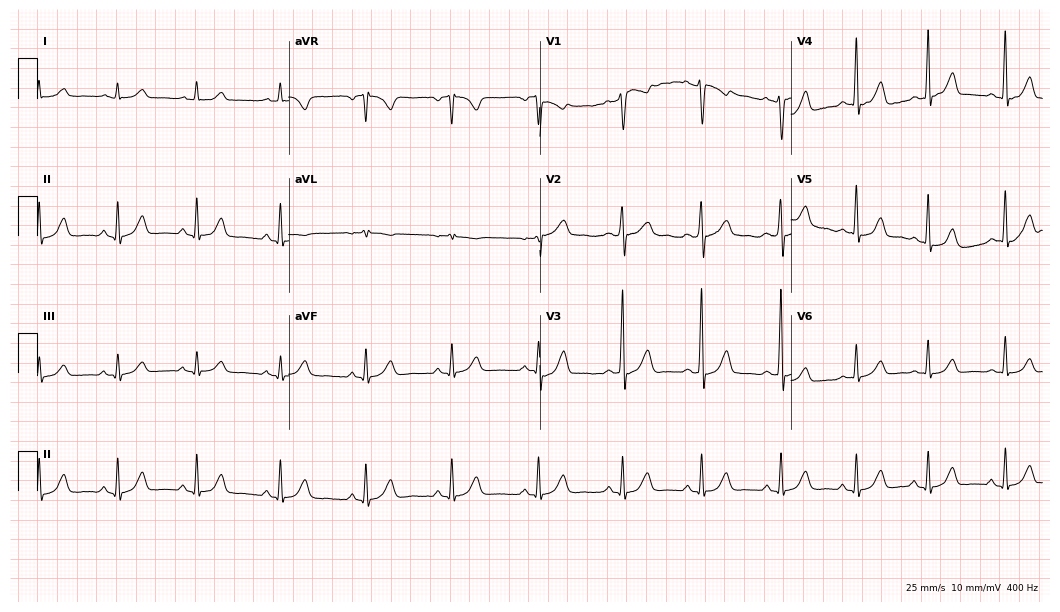
Resting 12-lead electrocardiogram (10.2-second recording at 400 Hz). Patient: a woman, 42 years old. None of these six findings is recorded: first-degree AV block, right bundle branch block, left bundle branch block, sinus bradycardia, atrial fibrillation, sinus tachycardia.